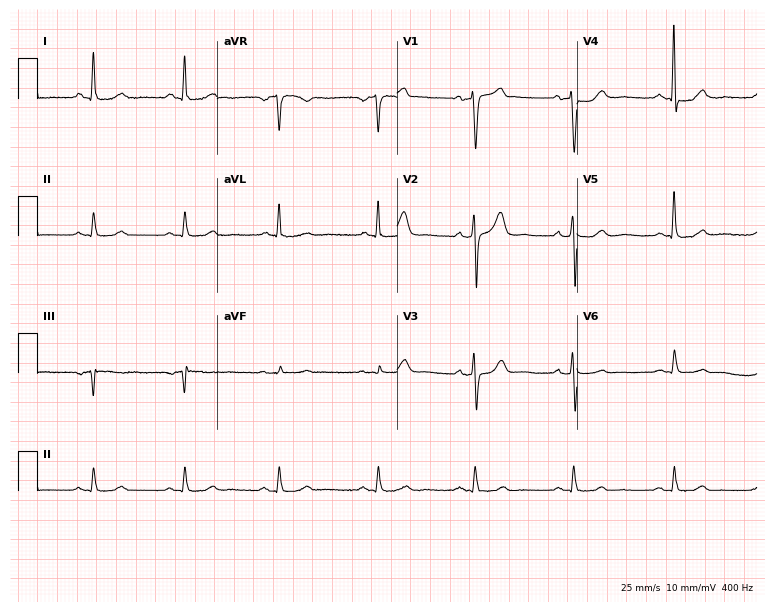
Standard 12-lead ECG recorded from a male patient, 68 years old. Read as a normal ECG.